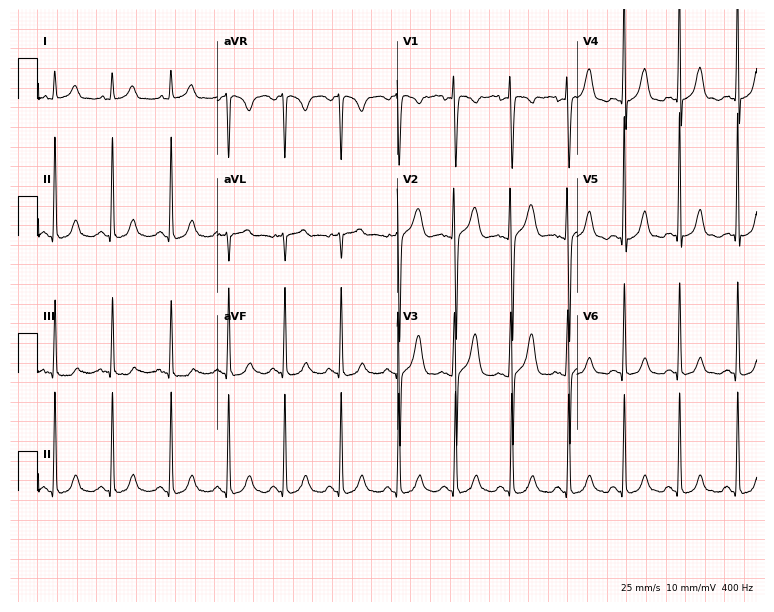
Resting 12-lead electrocardiogram. Patient: a female, 34 years old. The tracing shows sinus tachycardia (a sinus rate of 100 beats per minute or more).